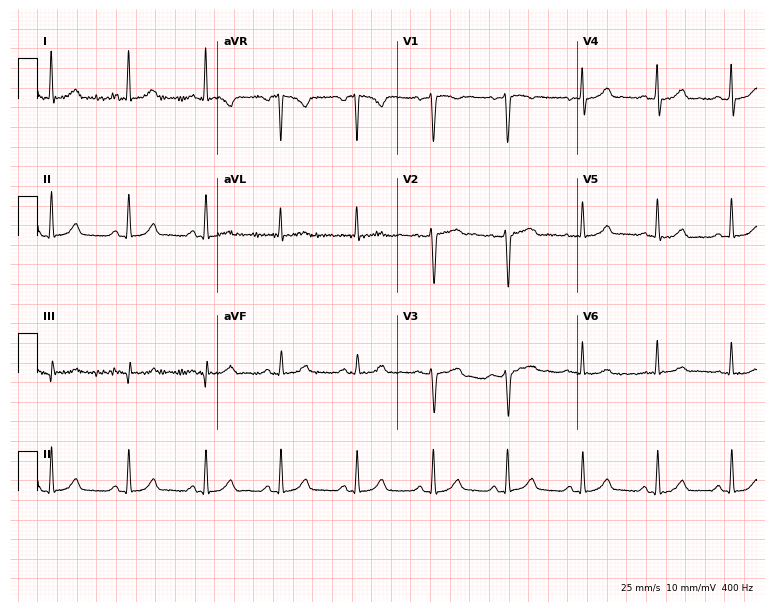
ECG (7.3-second recording at 400 Hz) — a 61-year-old female. Labelled as a normal ECG.